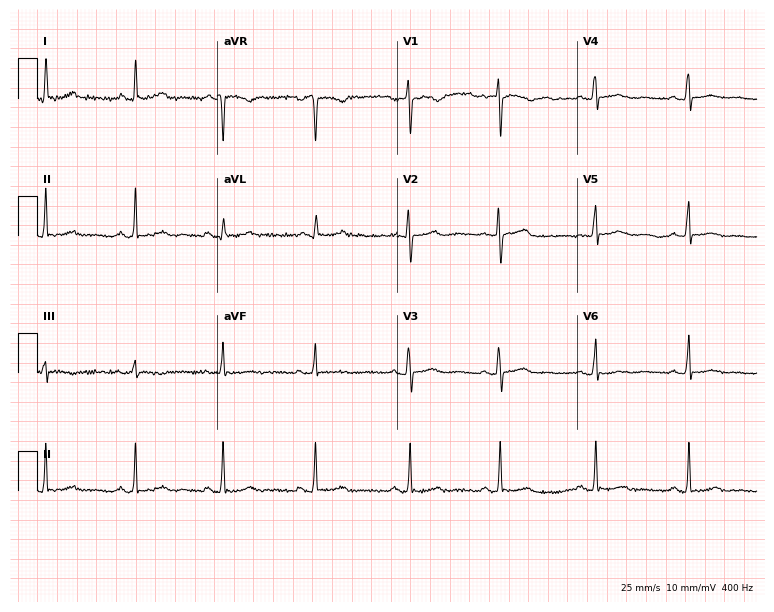
12-lead ECG from a 40-year-old female (7.3-second recording at 400 Hz). No first-degree AV block, right bundle branch block, left bundle branch block, sinus bradycardia, atrial fibrillation or sinus tachycardia recorded for this tracing. Findings outside these six are not listed.